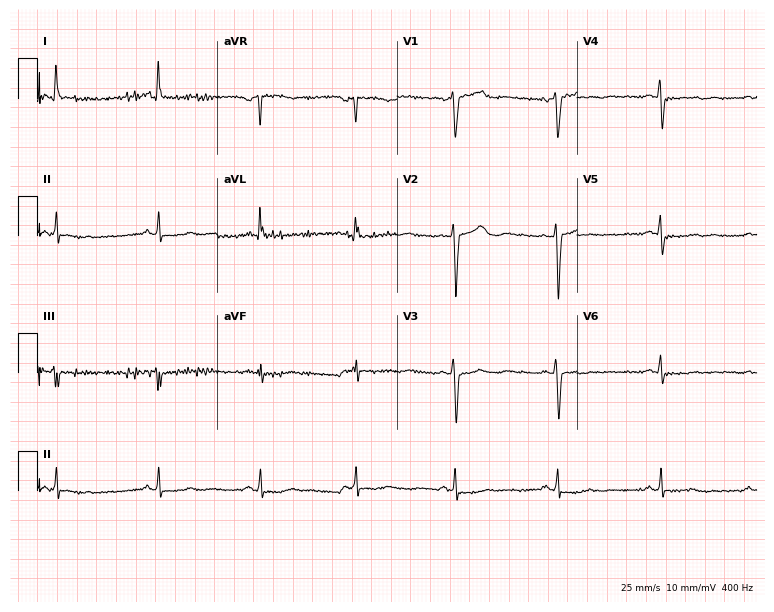
12-lead ECG (7.3-second recording at 400 Hz) from a woman, 48 years old. Screened for six findings — first-degree AV block, right bundle branch block, left bundle branch block, sinus bradycardia, atrial fibrillation, sinus tachycardia — none is recorded. Findings outside these six are not listed.